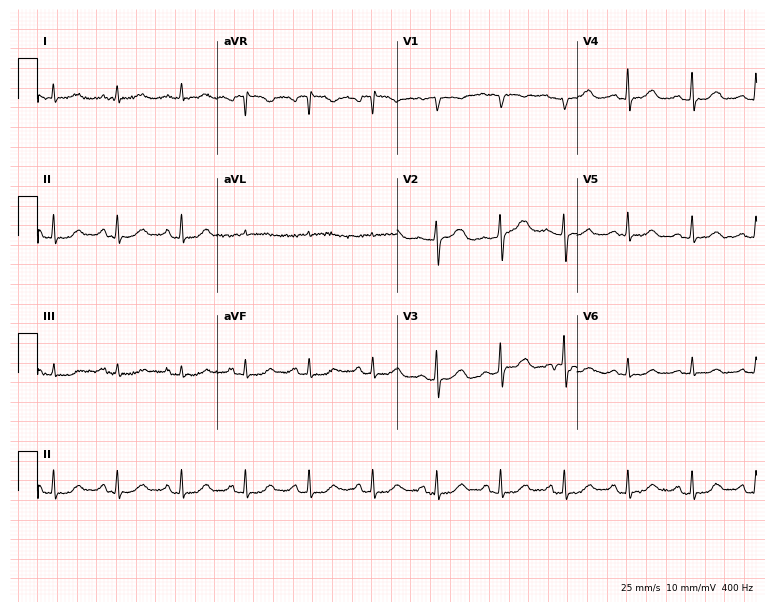
12-lead ECG from a 53-year-old female patient. Labelled as a normal ECG.